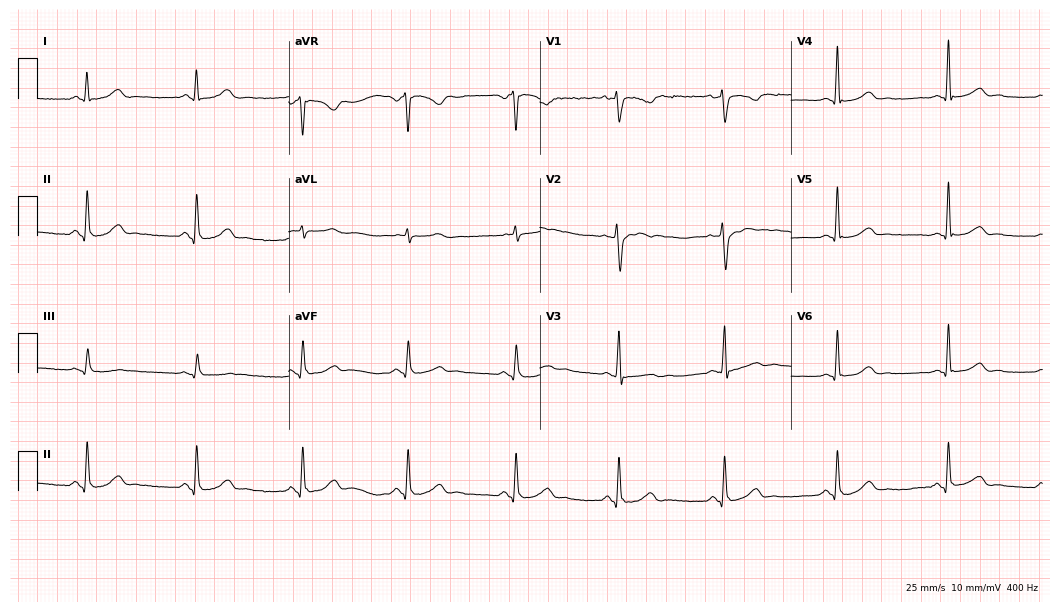
12-lead ECG from a female patient, 40 years old. Labelled as a normal ECG.